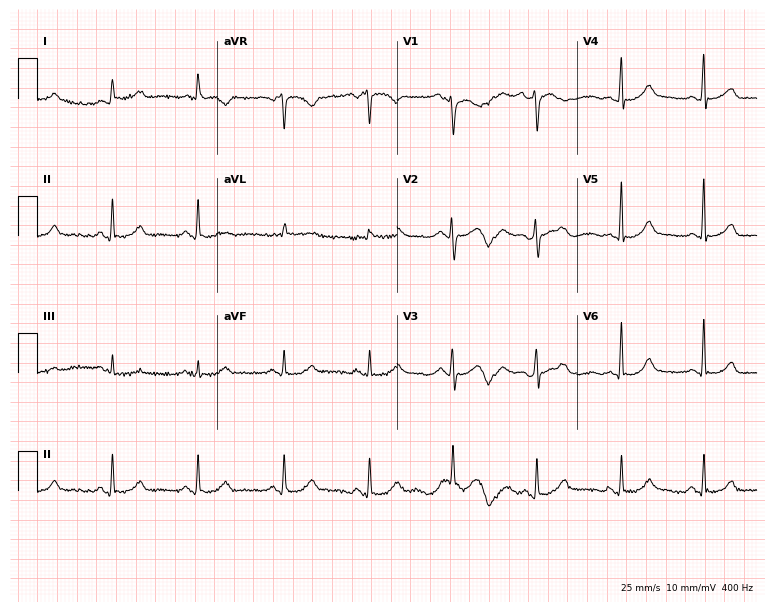
Resting 12-lead electrocardiogram. Patient: a woman, 47 years old. None of these six findings is recorded: first-degree AV block, right bundle branch block, left bundle branch block, sinus bradycardia, atrial fibrillation, sinus tachycardia.